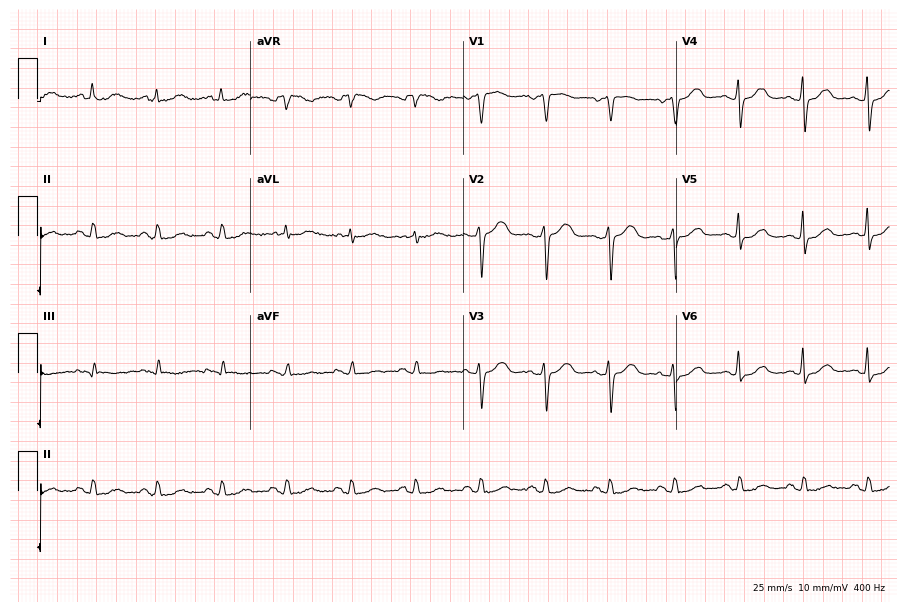
12-lead ECG (8.7-second recording at 400 Hz) from a female, 76 years old. Labelled as a normal ECG.